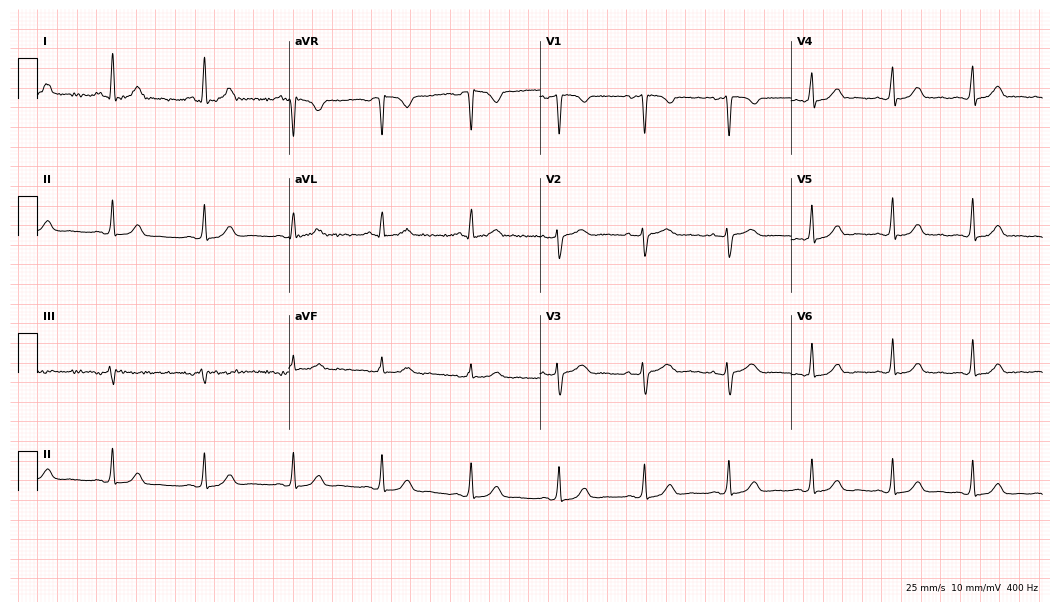
12-lead ECG from a 41-year-old female patient. Recorded interpretation: within normal limits.